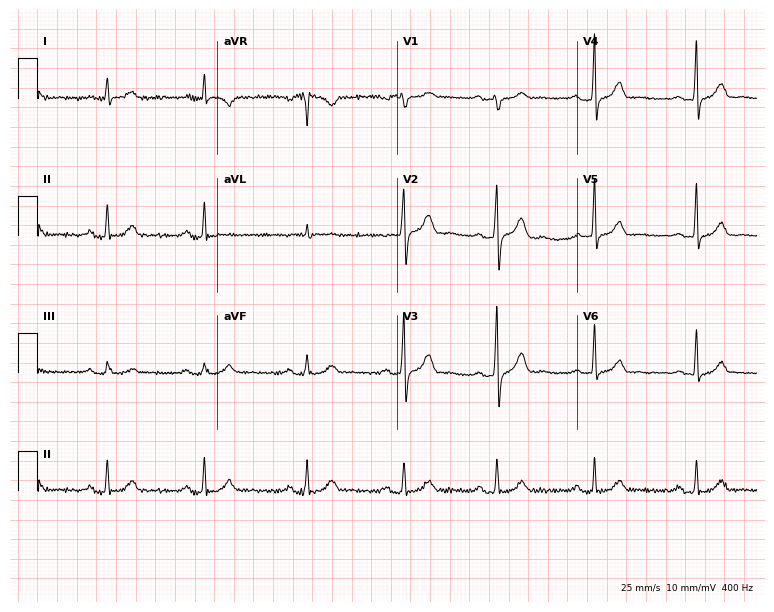
ECG — a 29-year-old male patient. Labelled as a normal ECG.